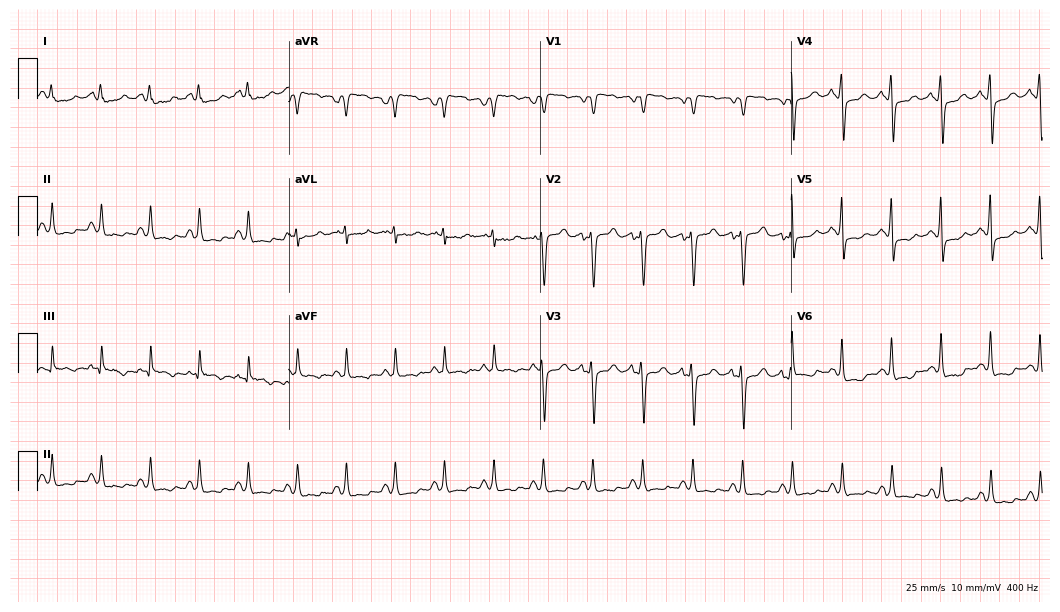
Electrocardiogram, a 60-year-old female patient. Interpretation includes sinus tachycardia (a sinus rate of 100 beats per minute or more).